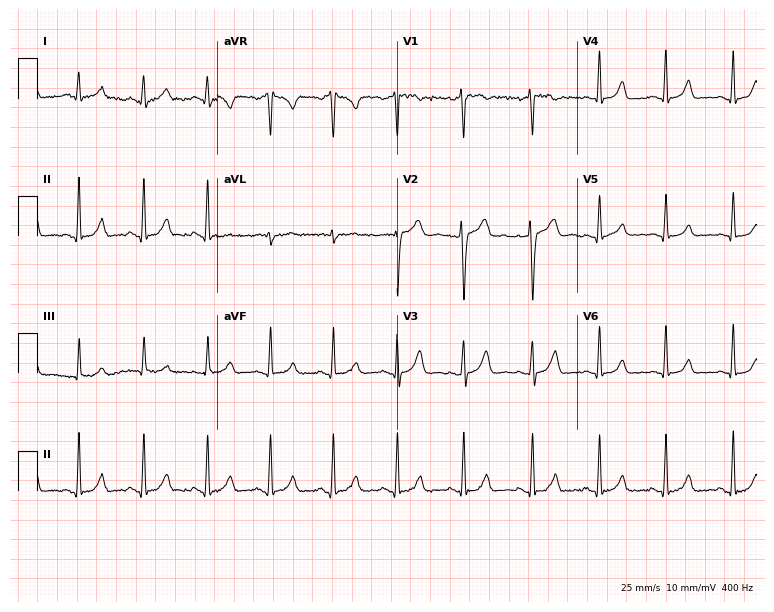
ECG (7.3-second recording at 400 Hz) — a female patient, 31 years old. Labelled as a normal ECG.